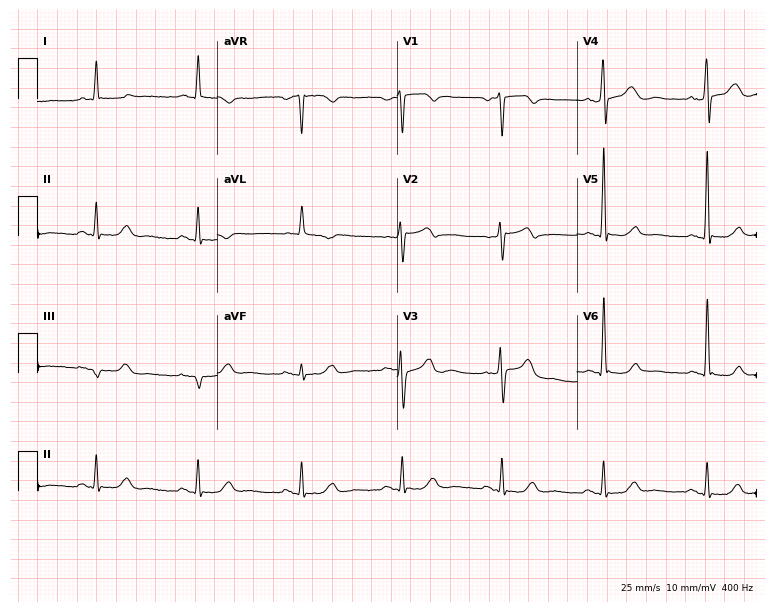
Resting 12-lead electrocardiogram (7.3-second recording at 400 Hz). Patient: a 63-year-old male. None of these six findings is recorded: first-degree AV block, right bundle branch block, left bundle branch block, sinus bradycardia, atrial fibrillation, sinus tachycardia.